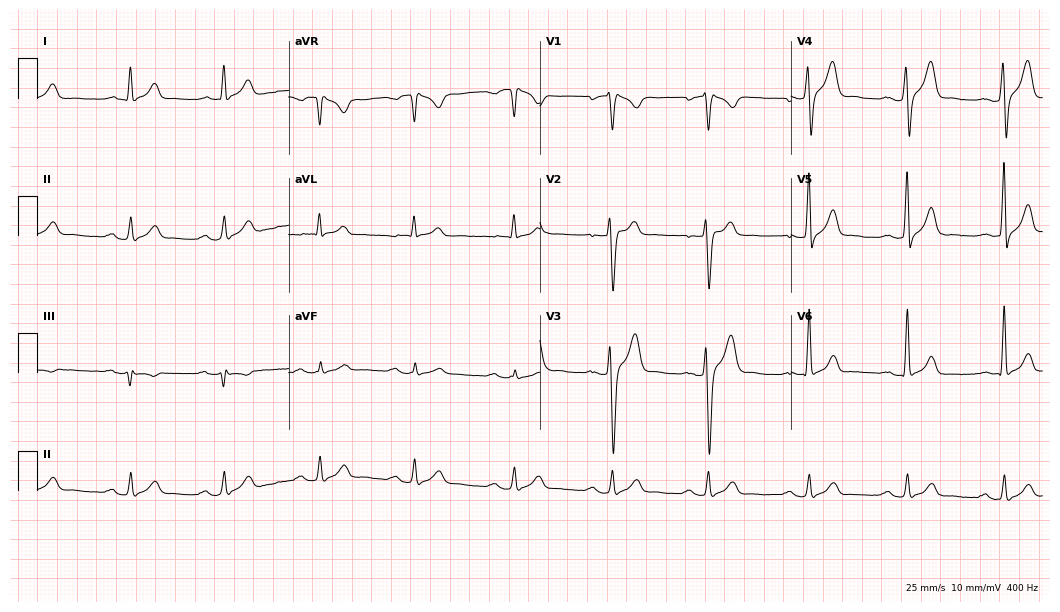
Electrocardiogram (10.2-second recording at 400 Hz), a 31-year-old male. Of the six screened findings (first-degree AV block, right bundle branch block, left bundle branch block, sinus bradycardia, atrial fibrillation, sinus tachycardia), none is recorded. Only these six findings were labelled.